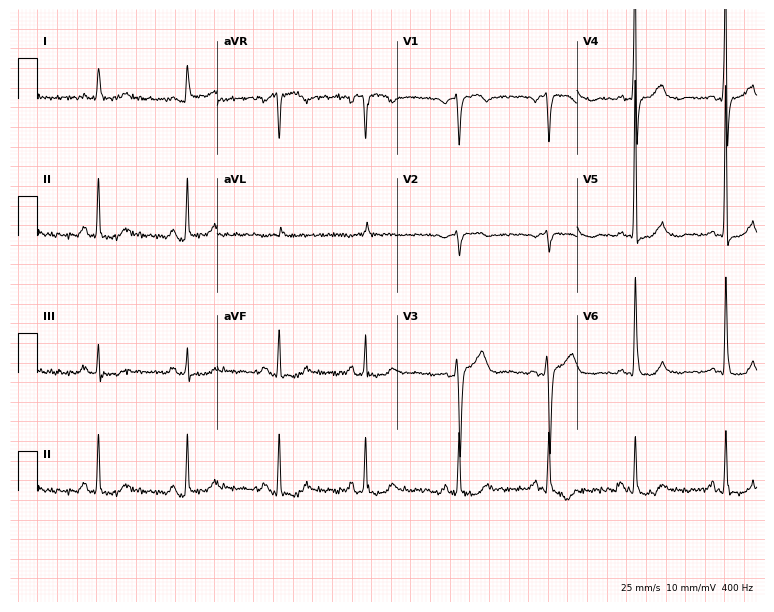
12-lead ECG from an 82-year-old man (7.3-second recording at 400 Hz). No first-degree AV block, right bundle branch block, left bundle branch block, sinus bradycardia, atrial fibrillation or sinus tachycardia recorded for this tracing. Only these six findings were labelled.